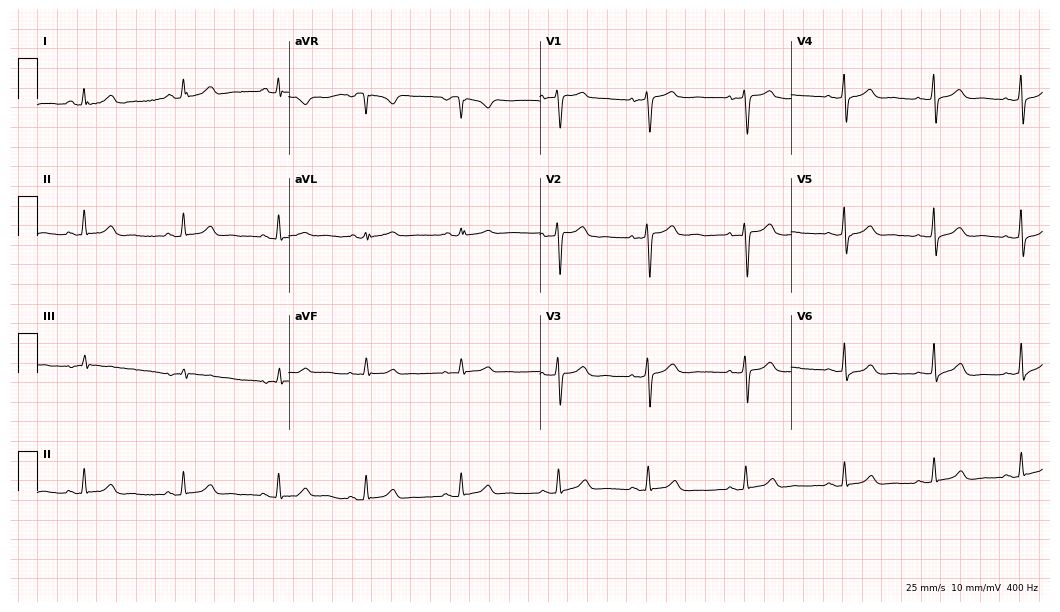
Resting 12-lead electrocardiogram (10.2-second recording at 400 Hz). Patient: a woman, 30 years old. Read as a normal ECG.